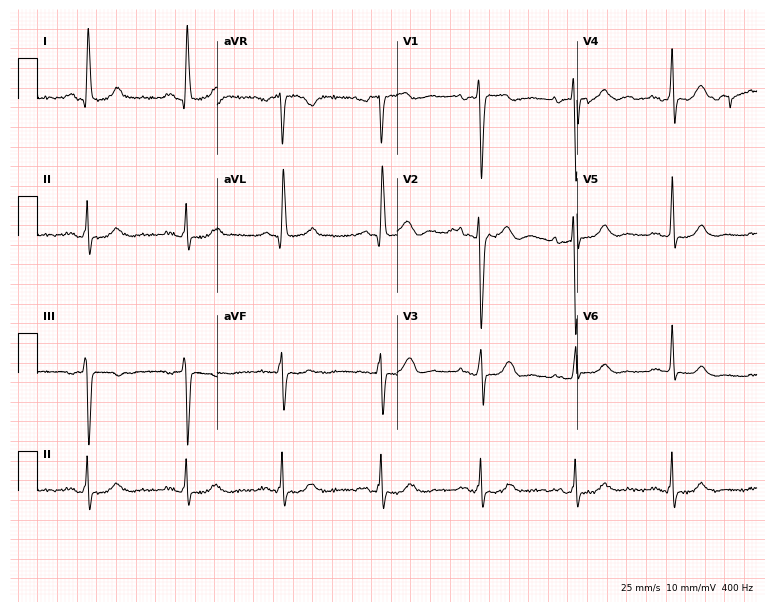
12-lead ECG from a 63-year-old female patient. No first-degree AV block, right bundle branch block (RBBB), left bundle branch block (LBBB), sinus bradycardia, atrial fibrillation (AF) or sinus tachycardia recorded for this tracing.